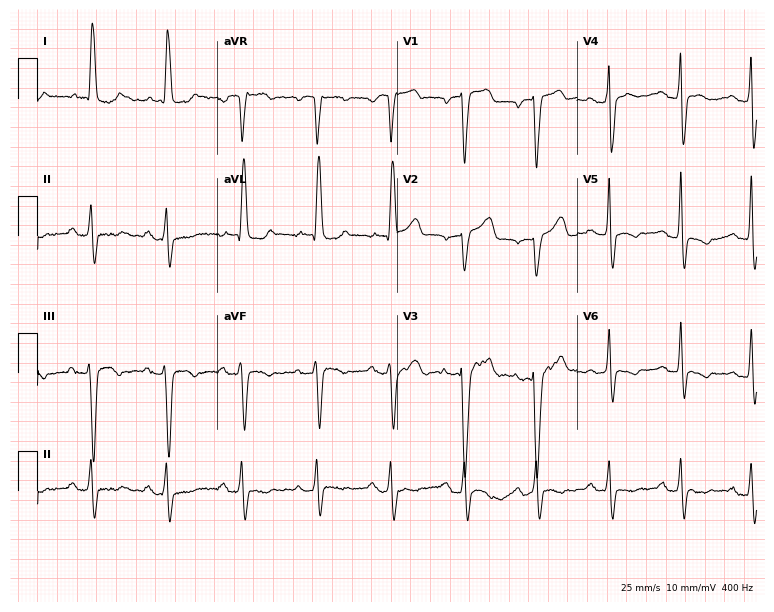
Resting 12-lead electrocardiogram (7.3-second recording at 400 Hz). Patient: a female, 75 years old. None of these six findings is recorded: first-degree AV block, right bundle branch block, left bundle branch block, sinus bradycardia, atrial fibrillation, sinus tachycardia.